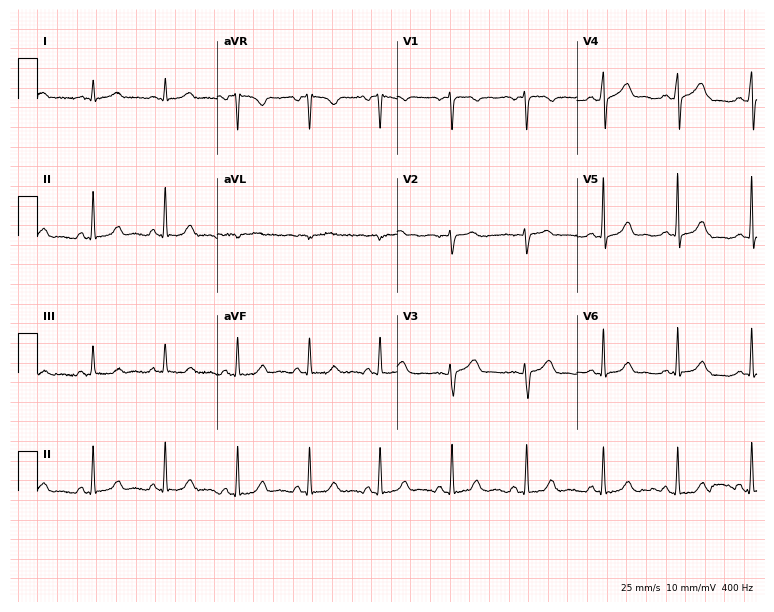
ECG — a woman, 49 years old. Labelled as a normal ECG.